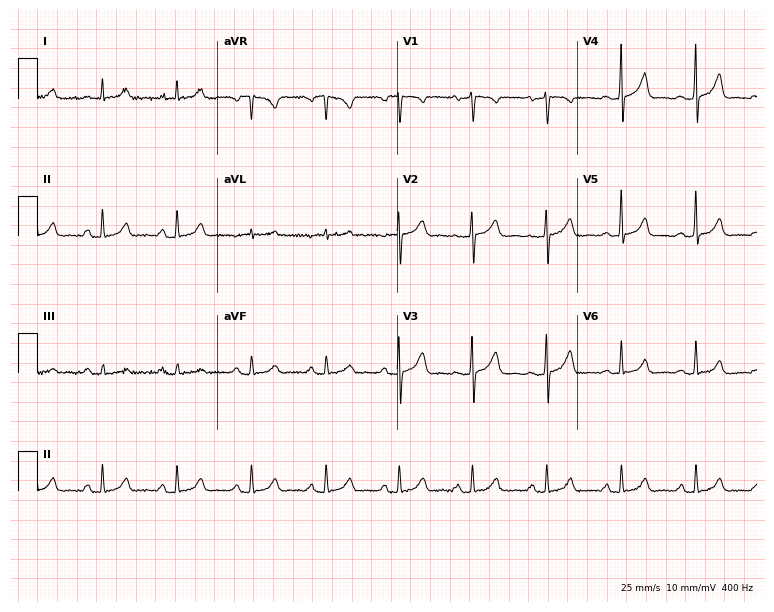
Standard 12-lead ECG recorded from a female, 50 years old (7.3-second recording at 400 Hz). None of these six findings is recorded: first-degree AV block, right bundle branch block, left bundle branch block, sinus bradycardia, atrial fibrillation, sinus tachycardia. Findings outside these six are not listed.